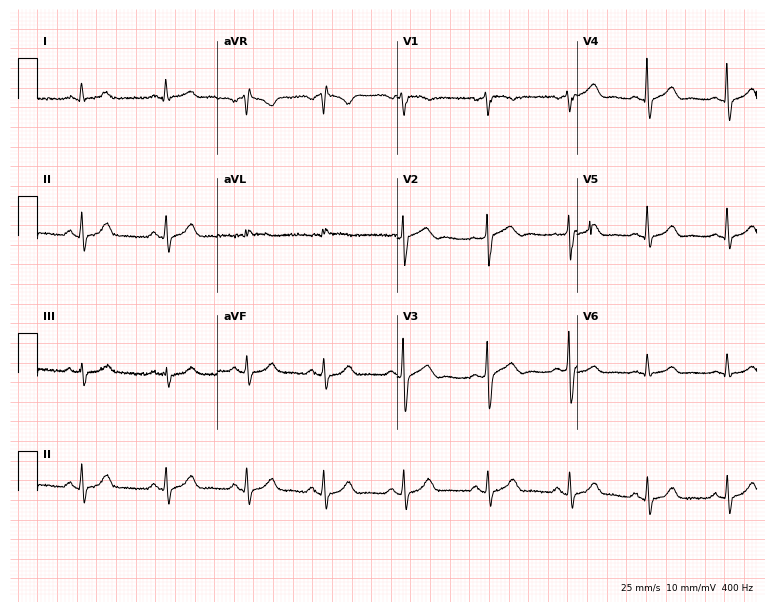
12-lead ECG from a 57-year-old woman (7.3-second recording at 400 Hz). Recorded interpretation: within normal limits.